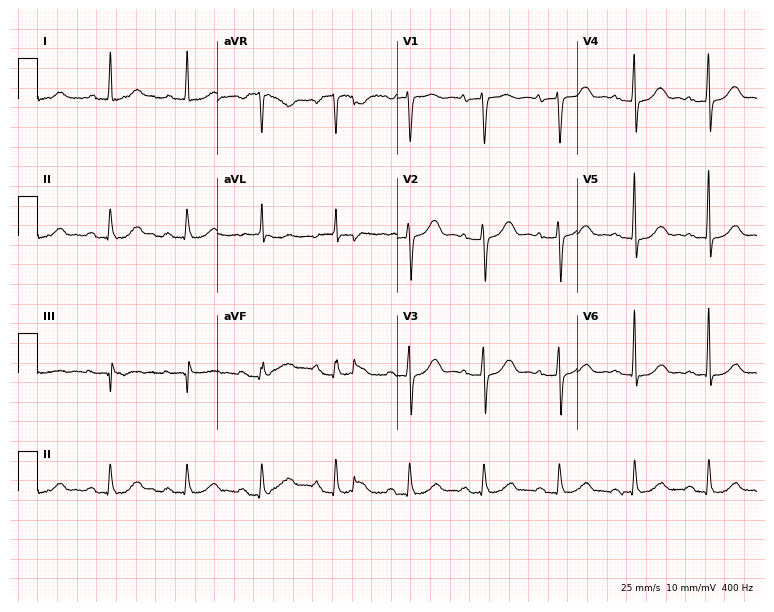
Resting 12-lead electrocardiogram. Patient: a female, 75 years old. Read as a normal ECG.